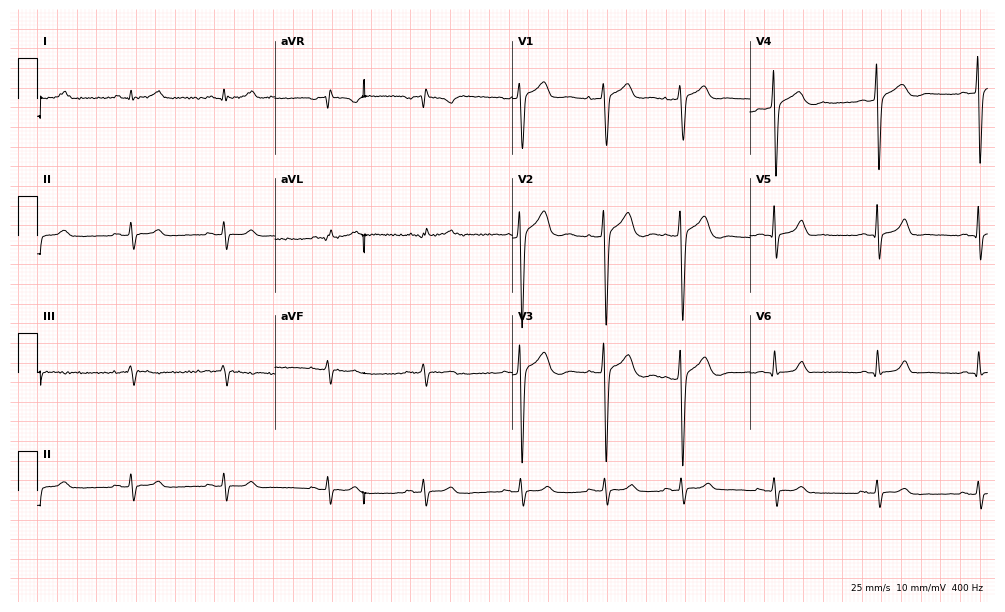
12-lead ECG from a man, 24 years old (9.7-second recording at 400 Hz). No first-degree AV block, right bundle branch block, left bundle branch block, sinus bradycardia, atrial fibrillation or sinus tachycardia recorded for this tracing. Findings outside these six are not listed.